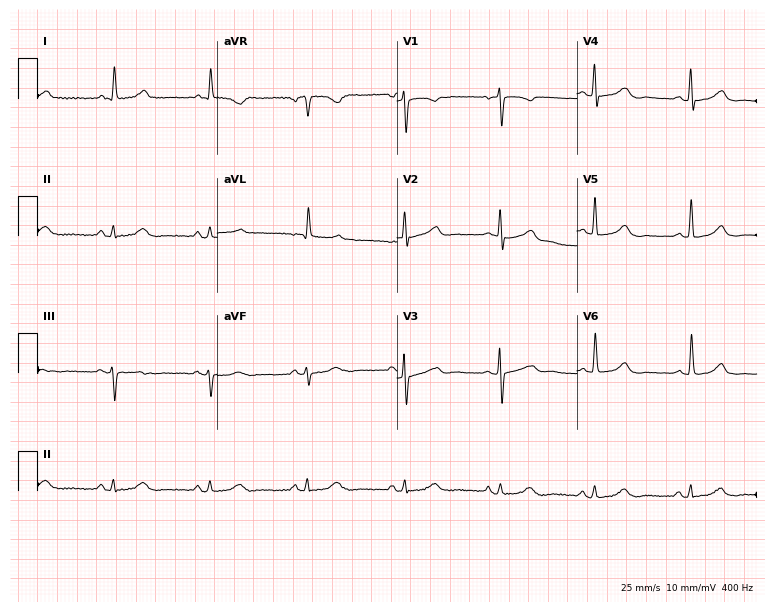
Electrocardiogram (7.3-second recording at 400 Hz), an 82-year-old woman. Of the six screened findings (first-degree AV block, right bundle branch block (RBBB), left bundle branch block (LBBB), sinus bradycardia, atrial fibrillation (AF), sinus tachycardia), none is recorded.